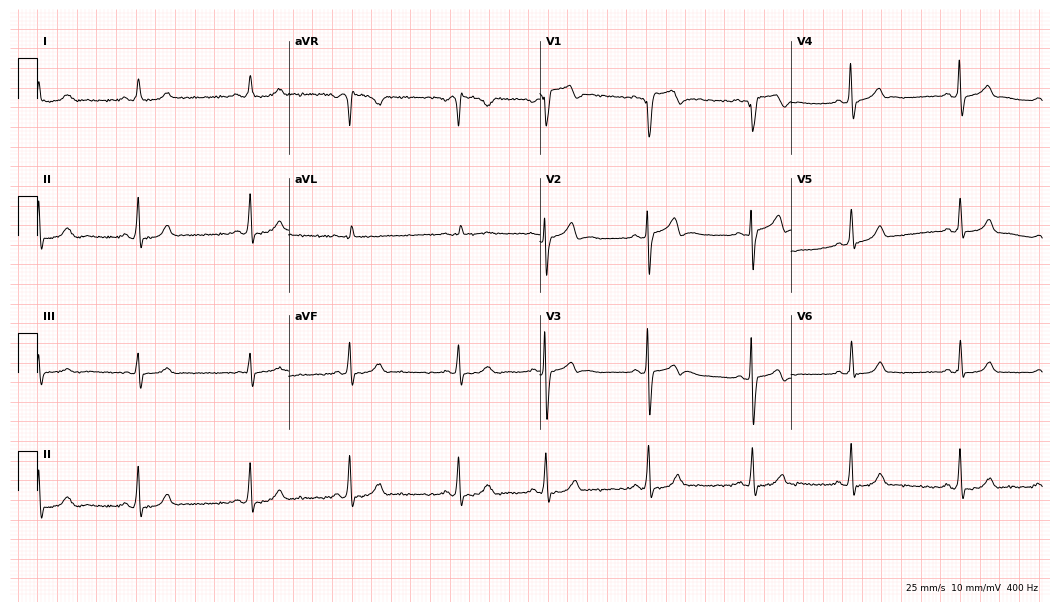
Standard 12-lead ECG recorded from a female, 24 years old. None of these six findings is recorded: first-degree AV block, right bundle branch block, left bundle branch block, sinus bradycardia, atrial fibrillation, sinus tachycardia. Findings outside these six are not listed.